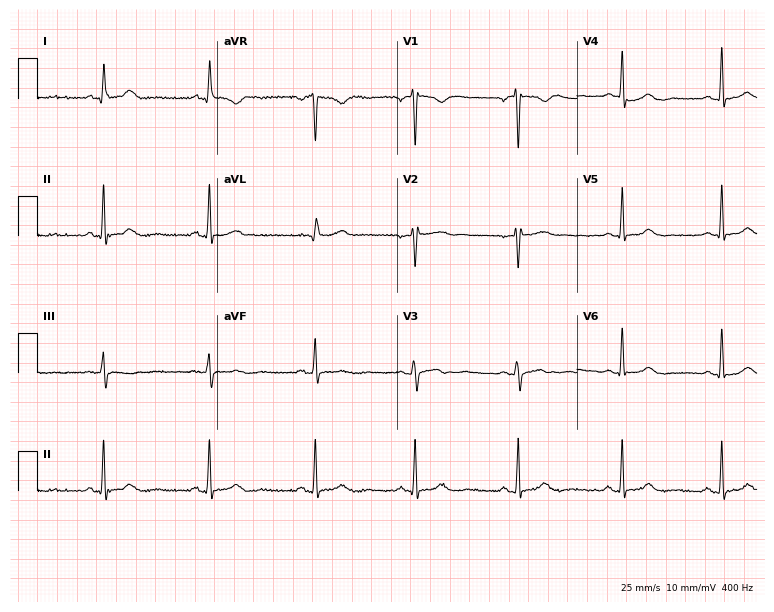
Standard 12-lead ECG recorded from a 51-year-old woman (7.3-second recording at 400 Hz). Read as a normal ECG.